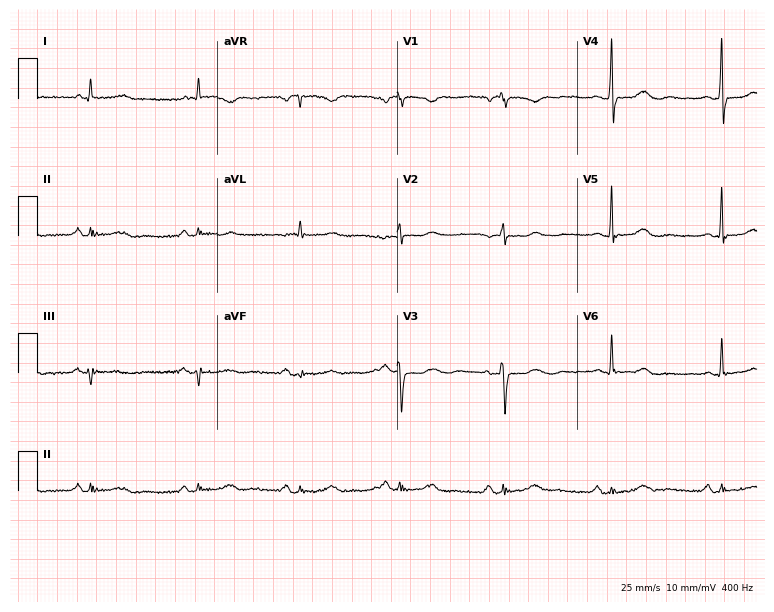
Standard 12-lead ECG recorded from a 68-year-old female patient. None of these six findings is recorded: first-degree AV block, right bundle branch block, left bundle branch block, sinus bradycardia, atrial fibrillation, sinus tachycardia. Only these six findings were labelled.